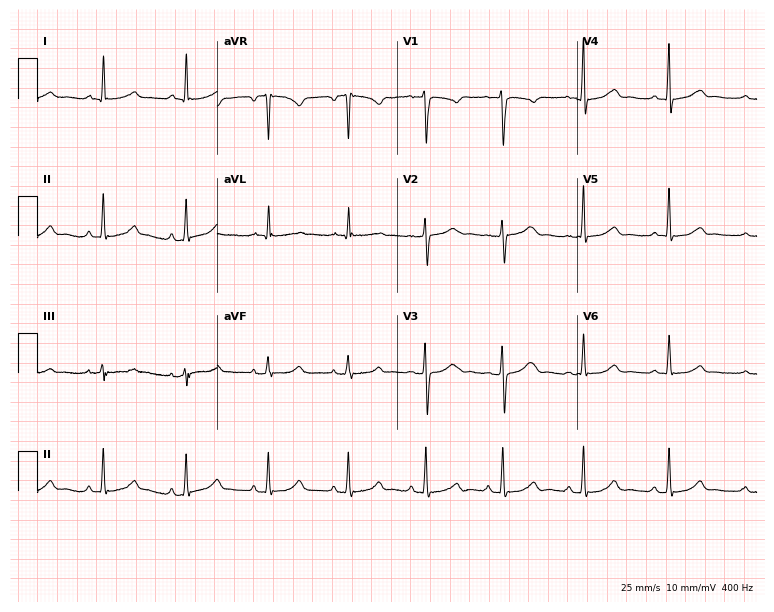
12-lead ECG from a woman, 48 years old (7.3-second recording at 400 Hz). Recorded interpretation: within normal limits.